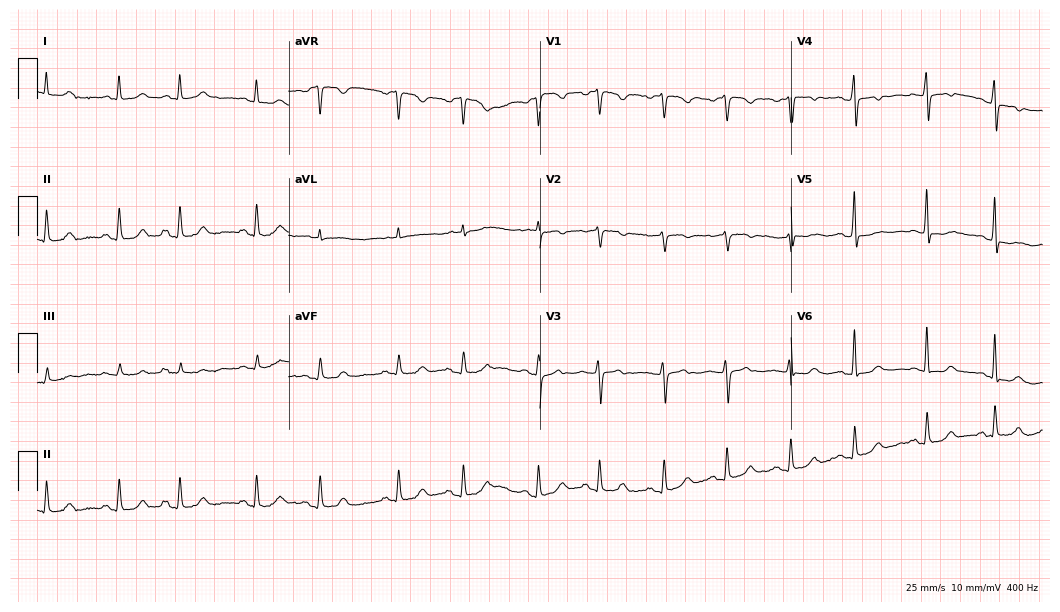
Electrocardiogram, a 44-year-old female patient. Of the six screened findings (first-degree AV block, right bundle branch block, left bundle branch block, sinus bradycardia, atrial fibrillation, sinus tachycardia), none is recorded. Only these six findings were labelled.